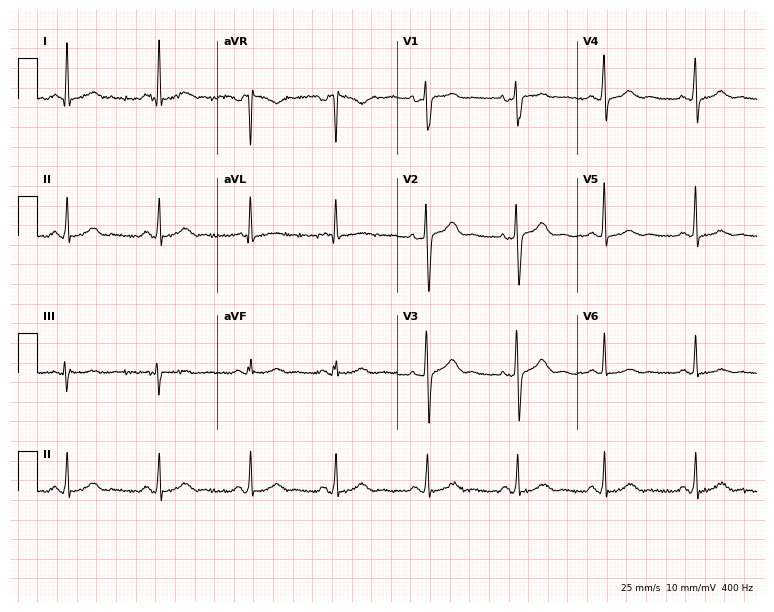
12-lead ECG from a 50-year-old female. No first-degree AV block, right bundle branch block, left bundle branch block, sinus bradycardia, atrial fibrillation or sinus tachycardia recorded for this tracing.